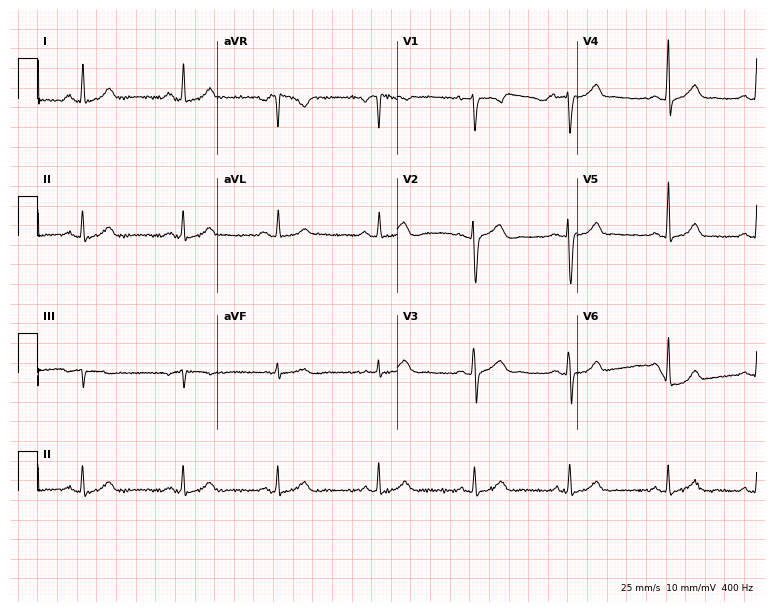
Standard 12-lead ECG recorded from a 32-year-old female (7.3-second recording at 400 Hz). Read as a normal ECG.